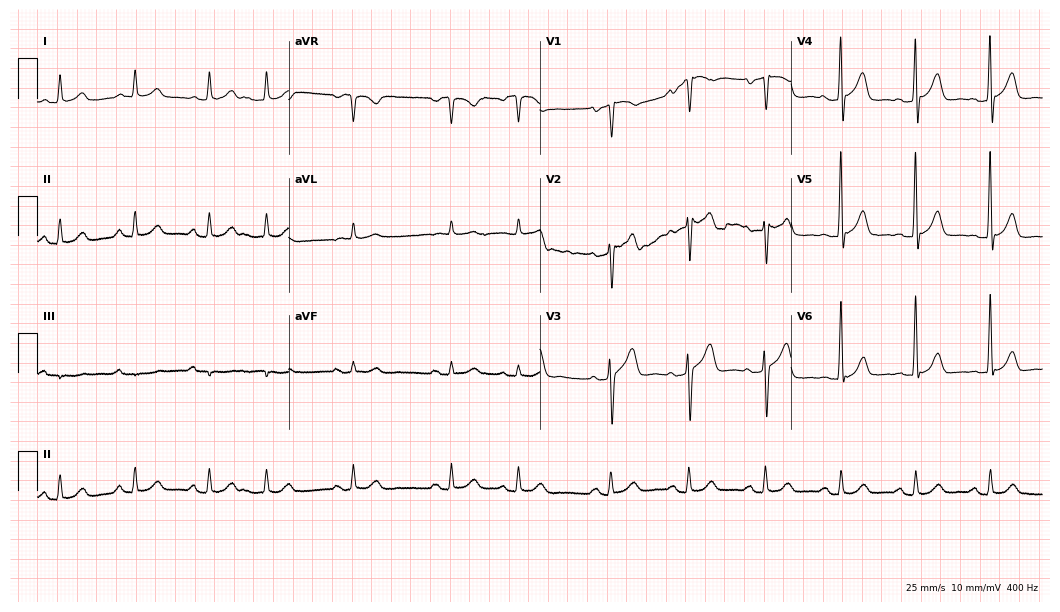
Resting 12-lead electrocardiogram (10.2-second recording at 400 Hz). Patient: an 82-year-old male. Read as a normal ECG.